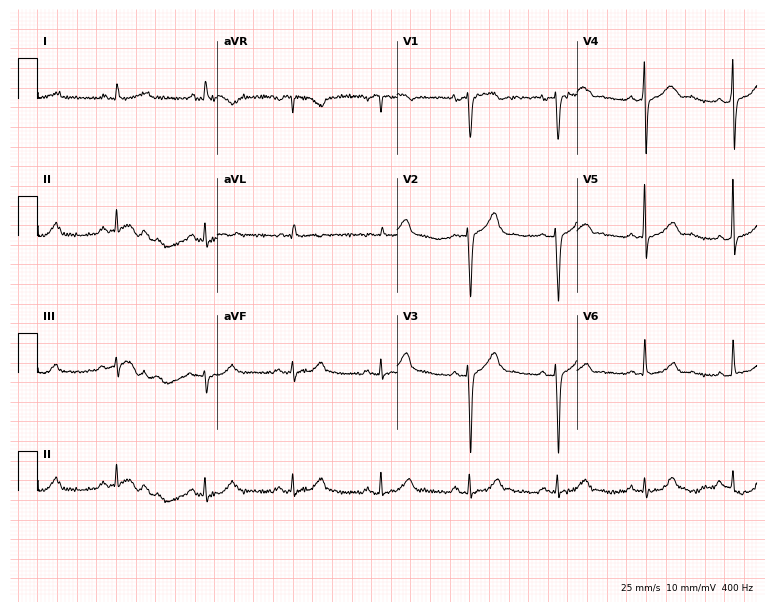
12-lead ECG from a 77-year-old woman (7.3-second recording at 400 Hz). No first-degree AV block, right bundle branch block (RBBB), left bundle branch block (LBBB), sinus bradycardia, atrial fibrillation (AF) or sinus tachycardia recorded for this tracing.